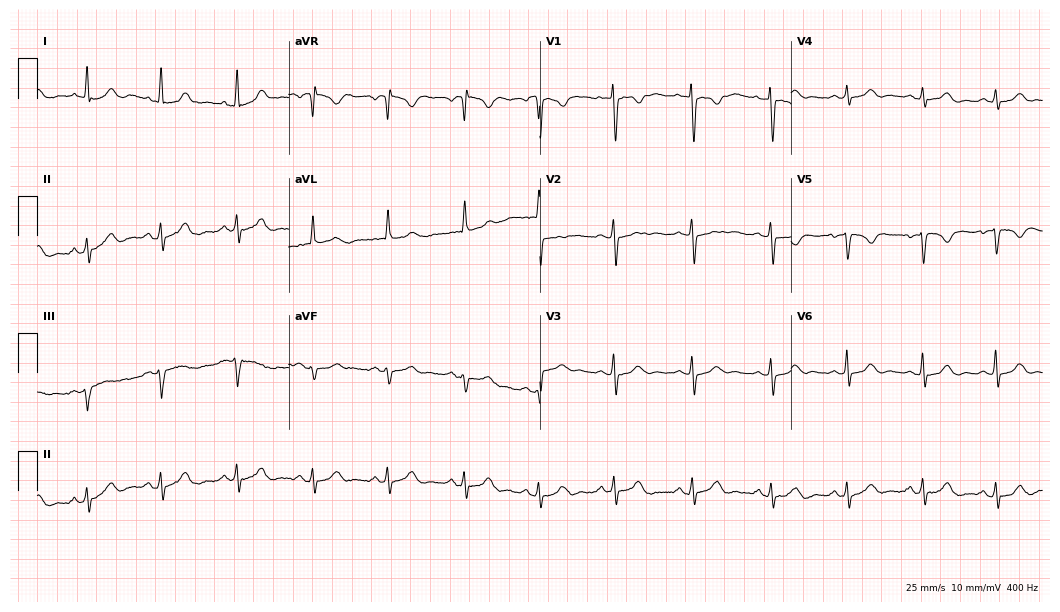
12-lead ECG from a 43-year-old female. Screened for six findings — first-degree AV block, right bundle branch block, left bundle branch block, sinus bradycardia, atrial fibrillation, sinus tachycardia — none is recorded.